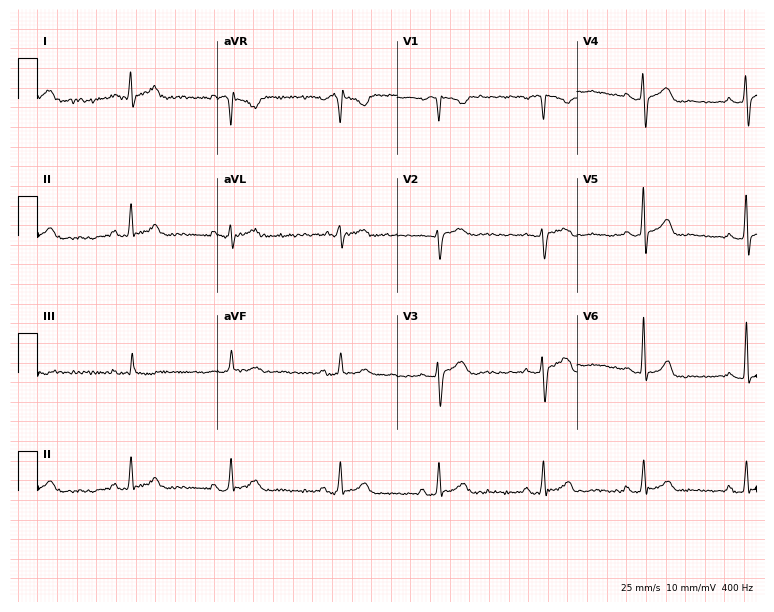
Standard 12-lead ECG recorded from a female patient, 32 years old (7.3-second recording at 400 Hz). None of these six findings is recorded: first-degree AV block, right bundle branch block (RBBB), left bundle branch block (LBBB), sinus bradycardia, atrial fibrillation (AF), sinus tachycardia.